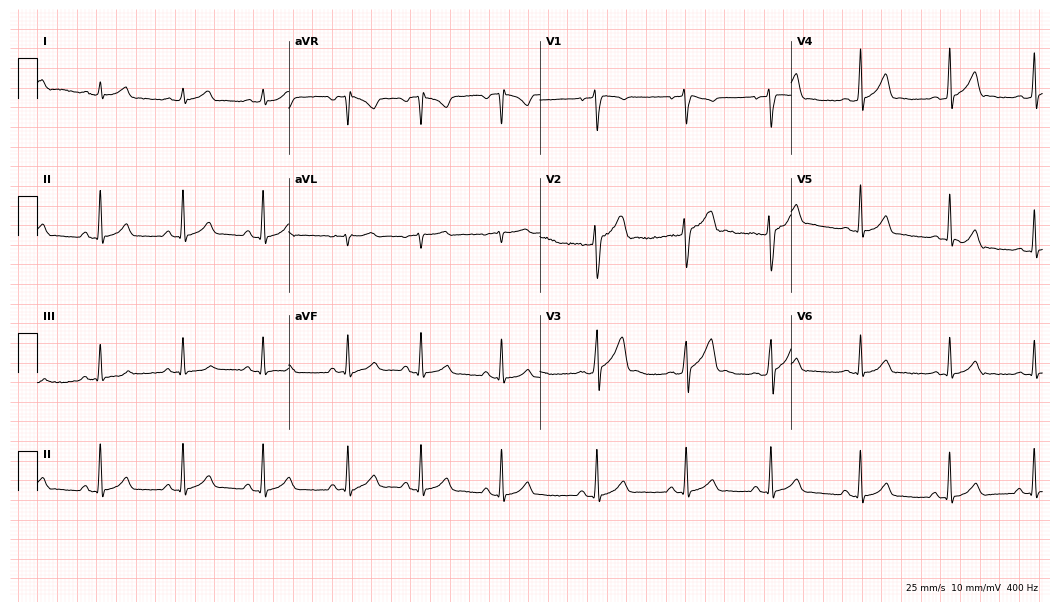
12-lead ECG from a 21-year-old male. Recorded interpretation: within normal limits.